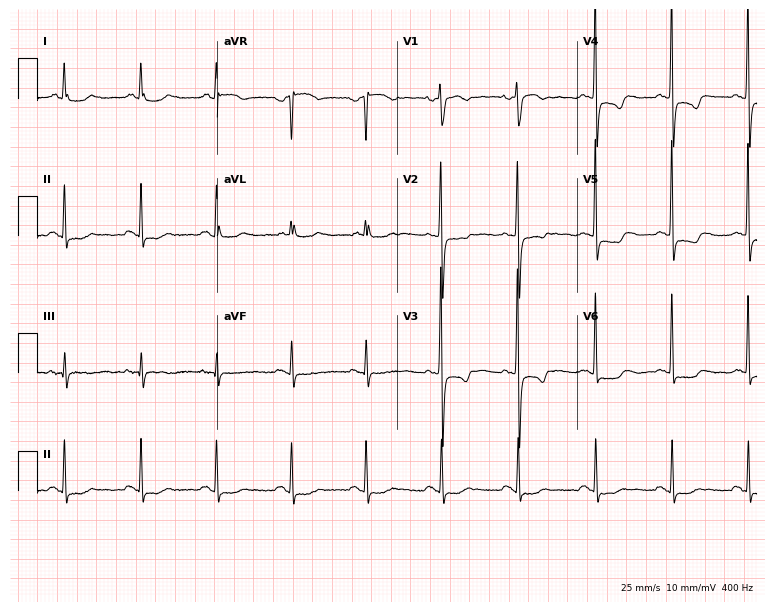
Electrocardiogram, a 72-year-old female. Of the six screened findings (first-degree AV block, right bundle branch block, left bundle branch block, sinus bradycardia, atrial fibrillation, sinus tachycardia), none is recorded. Findings outside these six are not listed.